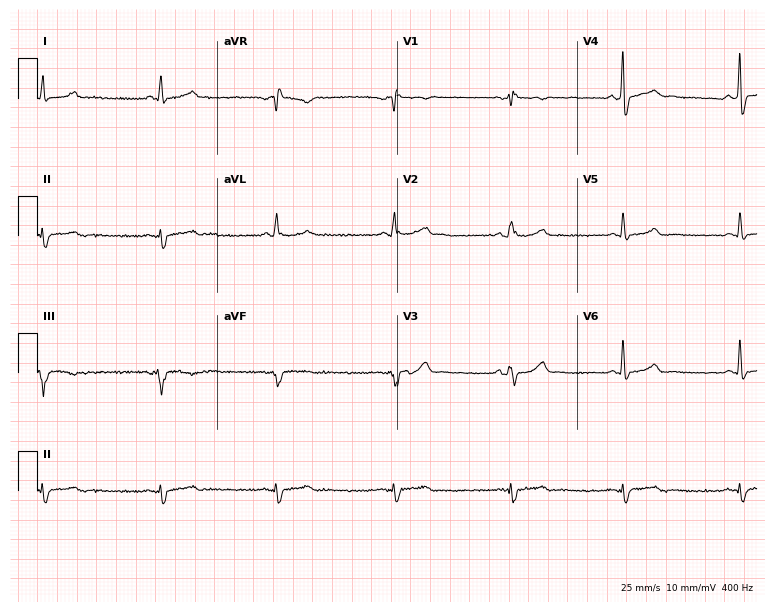
Electrocardiogram, a female, 43 years old. Of the six screened findings (first-degree AV block, right bundle branch block, left bundle branch block, sinus bradycardia, atrial fibrillation, sinus tachycardia), none is recorded. Findings outside these six are not listed.